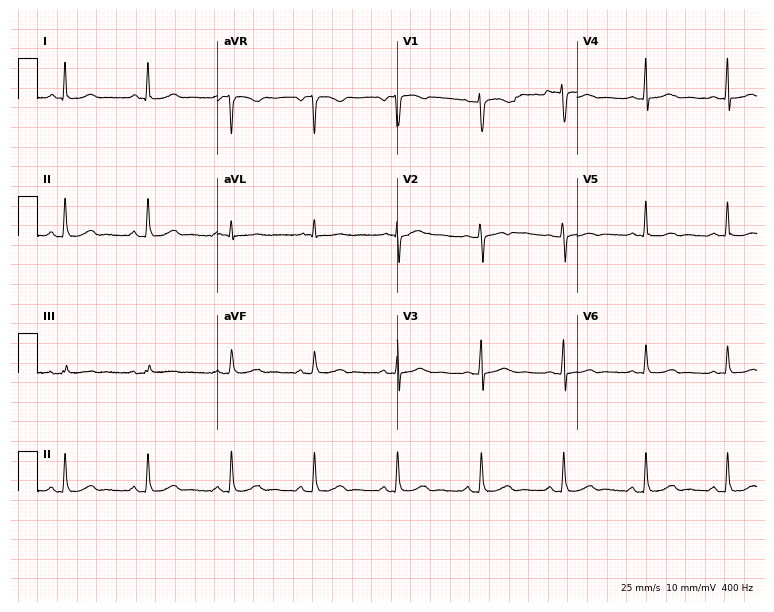
Resting 12-lead electrocardiogram (7.3-second recording at 400 Hz). Patient: a female, 46 years old. None of these six findings is recorded: first-degree AV block, right bundle branch block, left bundle branch block, sinus bradycardia, atrial fibrillation, sinus tachycardia.